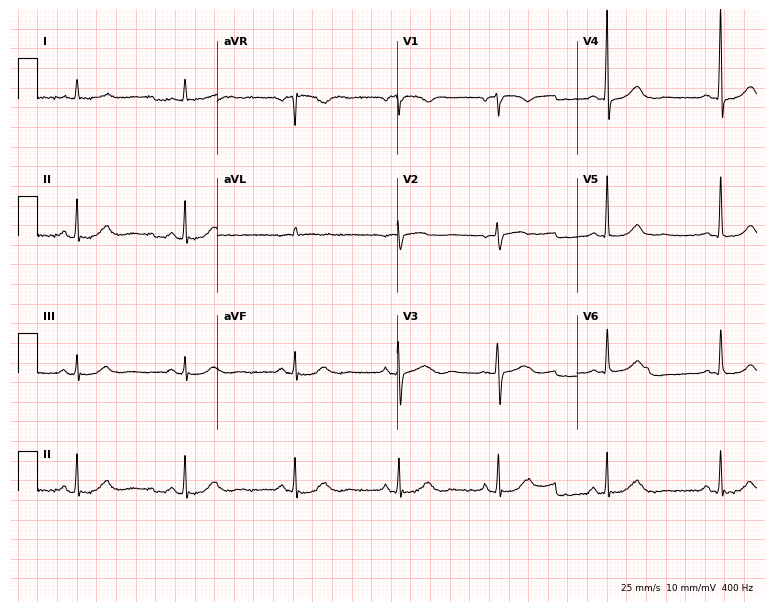
Electrocardiogram (7.3-second recording at 400 Hz), a 69-year-old female patient. Overall reading on record: normal ECG.